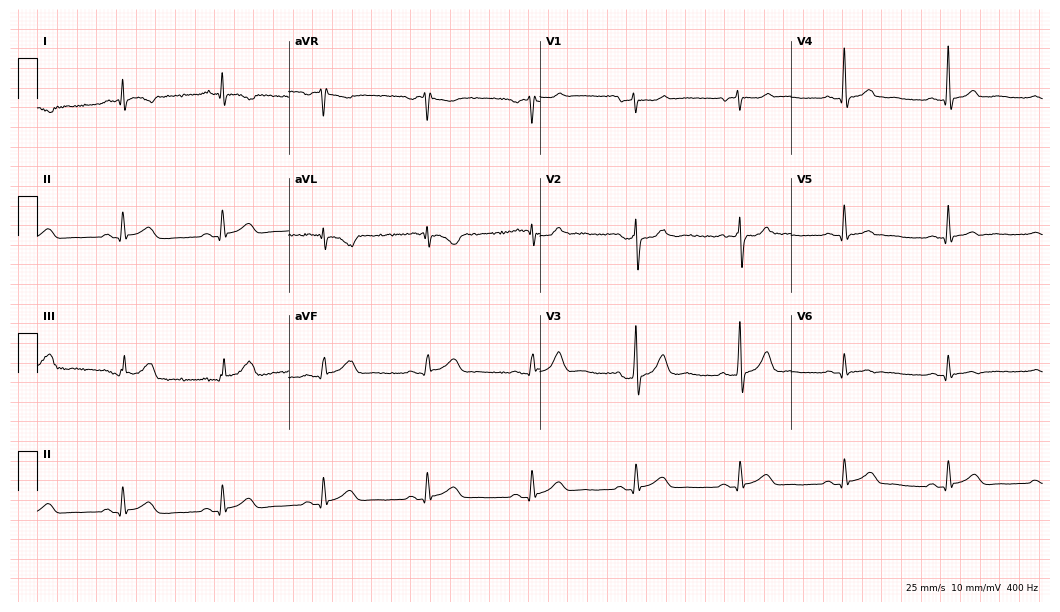
Standard 12-lead ECG recorded from a male, 57 years old. Read as a normal ECG.